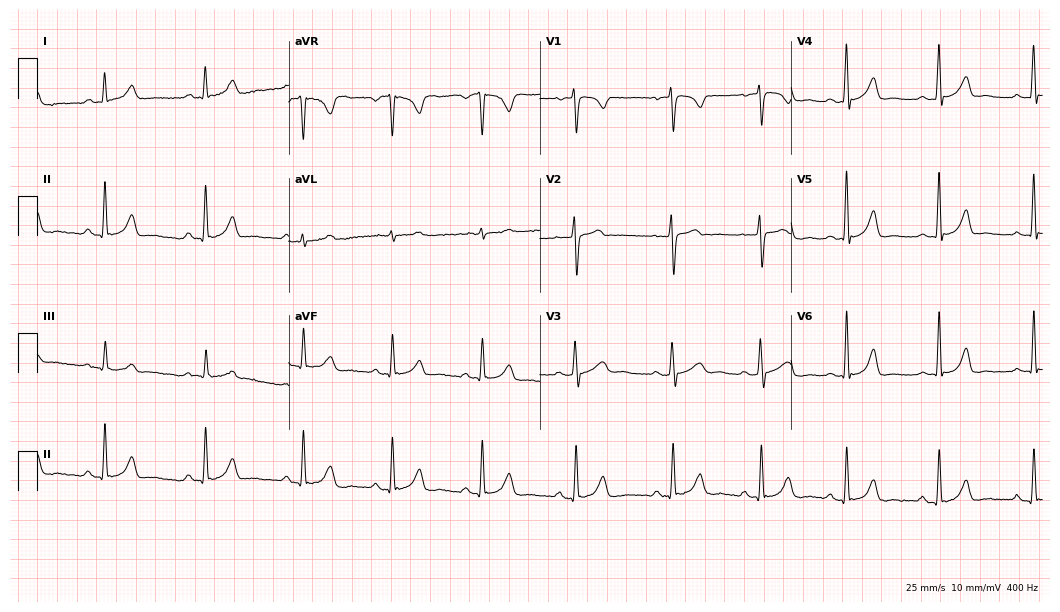
12-lead ECG from a 27-year-old woman. Recorded interpretation: within normal limits.